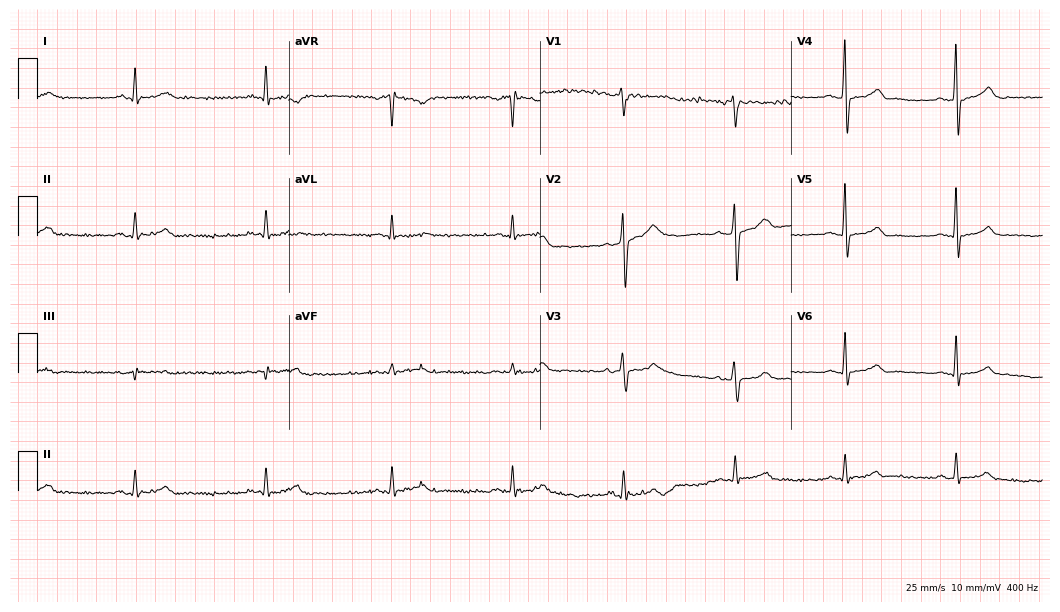
ECG (10.2-second recording at 400 Hz) — a 35-year-old man. Screened for six findings — first-degree AV block, right bundle branch block, left bundle branch block, sinus bradycardia, atrial fibrillation, sinus tachycardia — none is recorded.